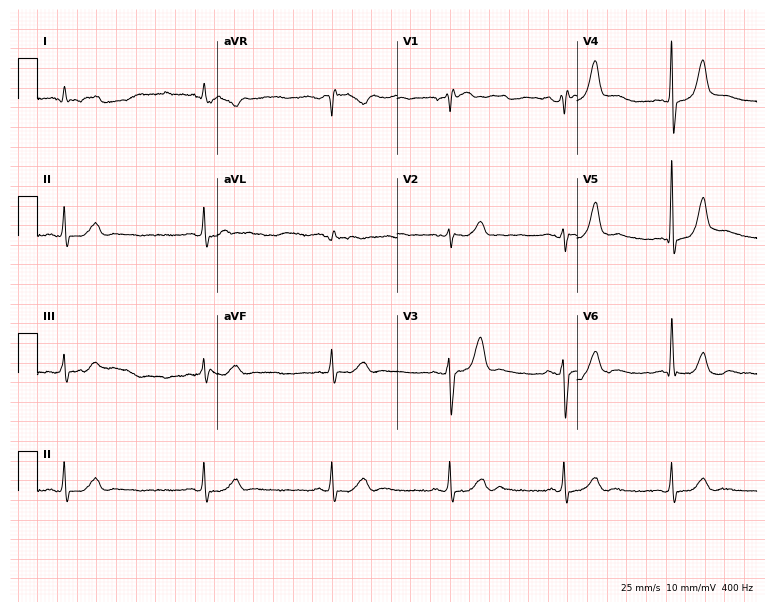
12-lead ECG from a 73-year-old man. Screened for six findings — first-degree AV block, right bundle branch block, left bundle branch block, sinus bradycardia, atrial fibrillation, sinus tachycardia — none is recorded.